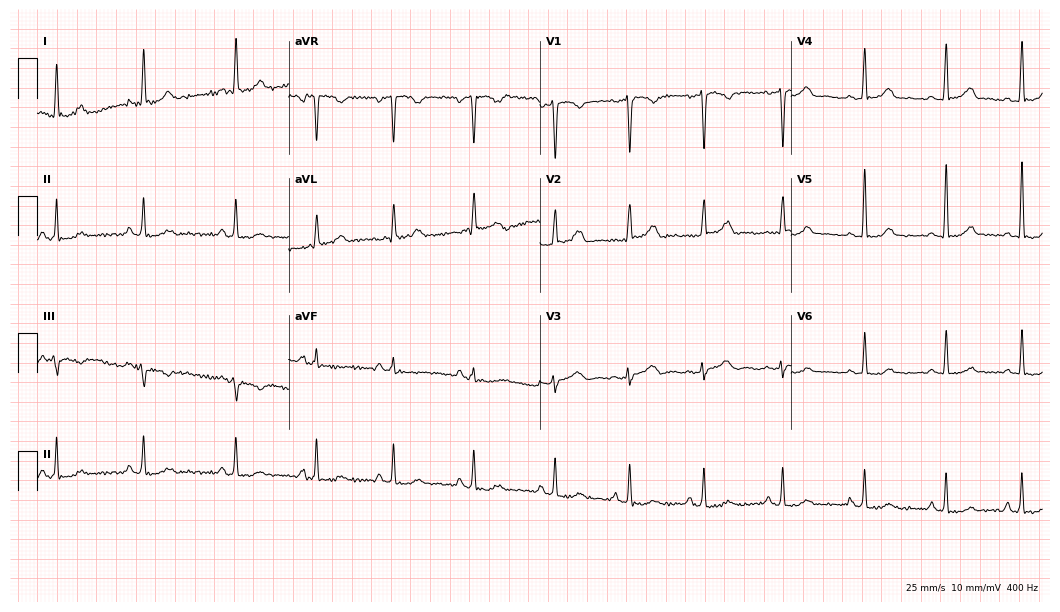
Standard 12-lead ECG recorded from a female, 45 years old. Read as a normal ECG.